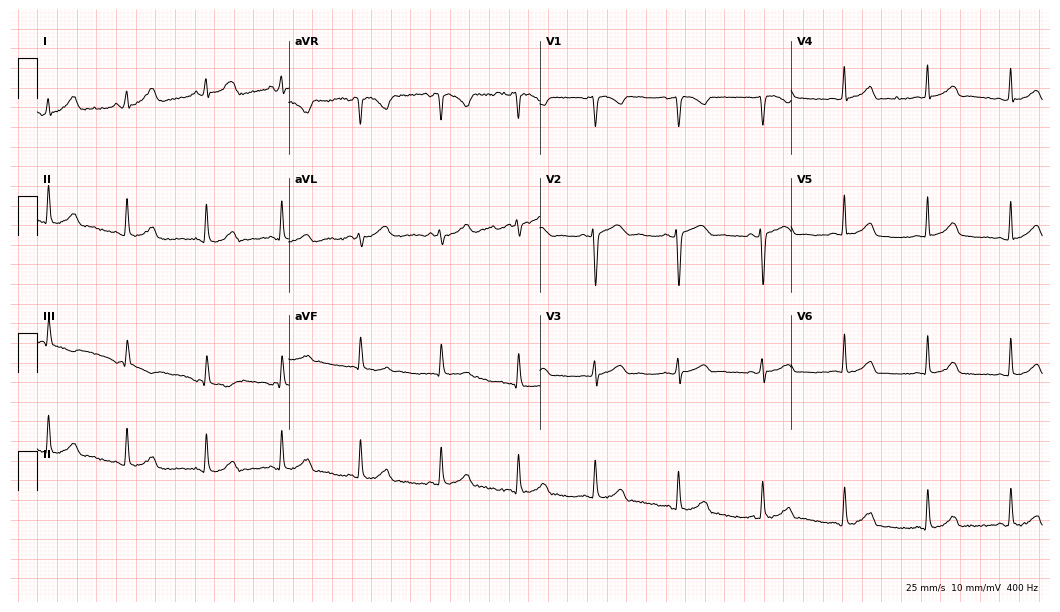
12-lead ECG from a female patient, 34 years old (10.2-second recording at 400 Hz). Recorded interpretation: within normal limits.